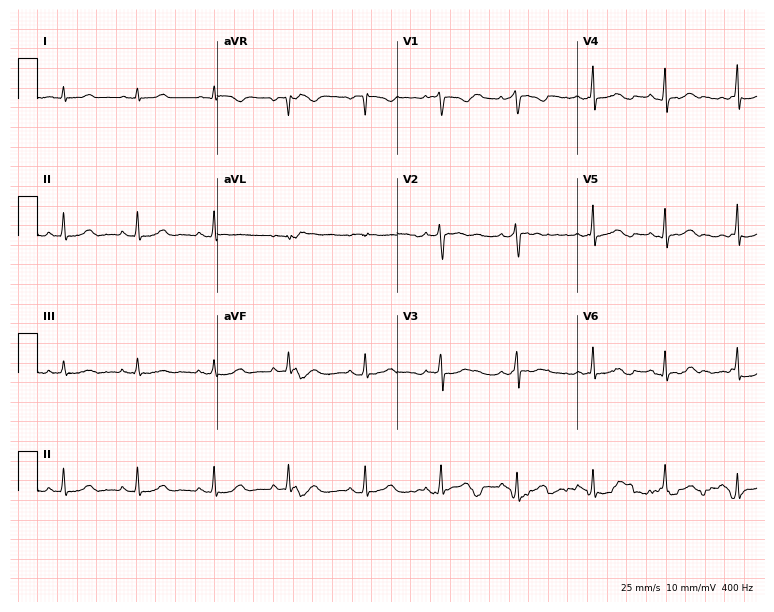
Standard 12-lead ECG recorded from a female, 34 years old (7.3-second recording at 400 Hz). Read as a normal ECG.